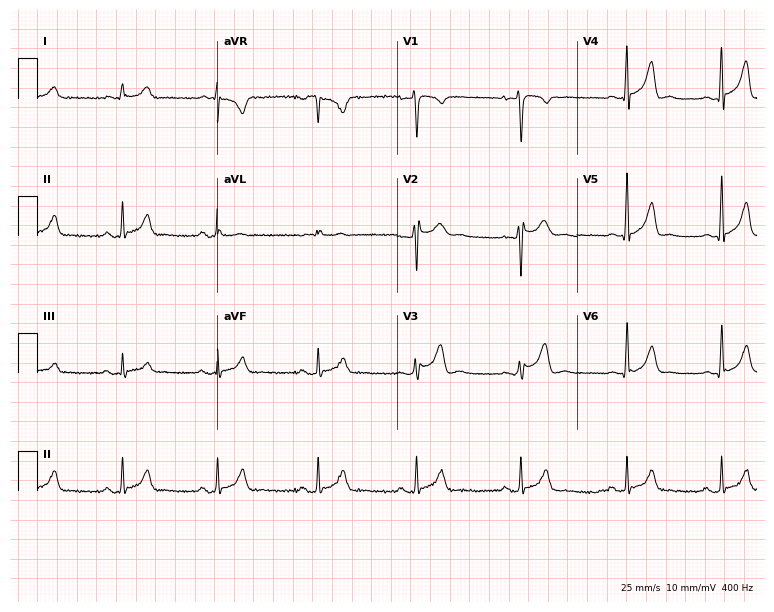
Standard 12-lead ECG recorded from a 23-year-old male patient (7.3-second recording at 400 Hz). None of these six findings is recorded: first-degree AV block, right bundle branch block, left bundle branch block, sinus bradycardia, atrial fibrillation, sinus tachycardia. Findings outside these six are not listed.